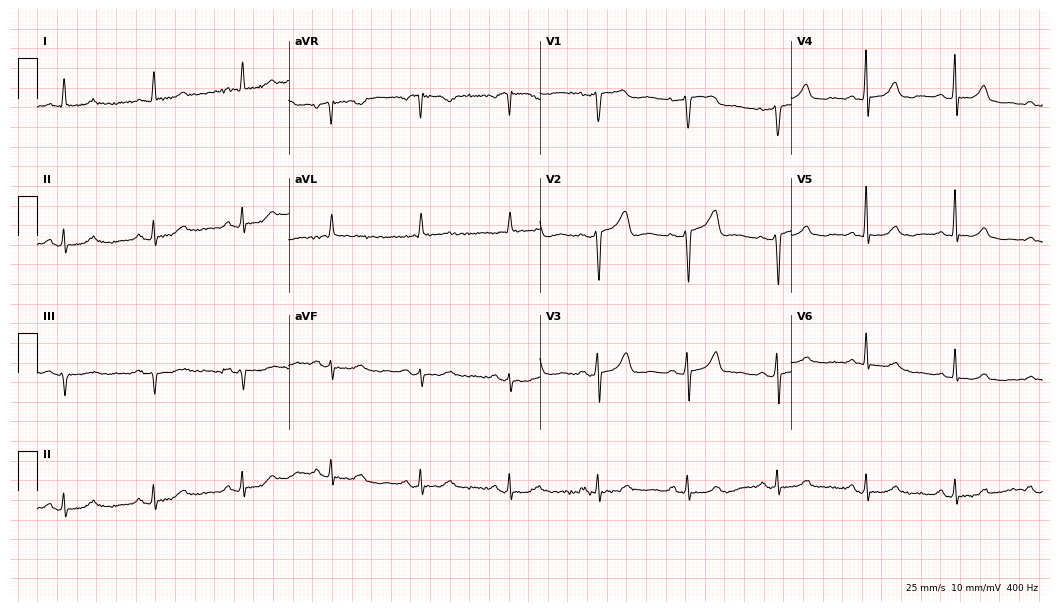
Electrocardiogram (10.2-second recording at 400 Hz), a male, 78 years old. Overall reading on record: normal ECG.